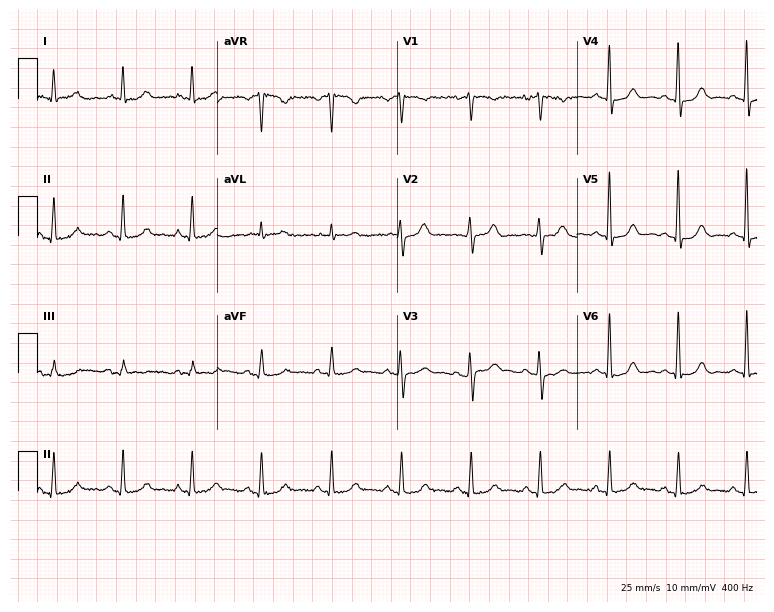
ECG (7.3-second recording at 400 Hz) — a 64-year-old female. Labelled as a normal ECG.